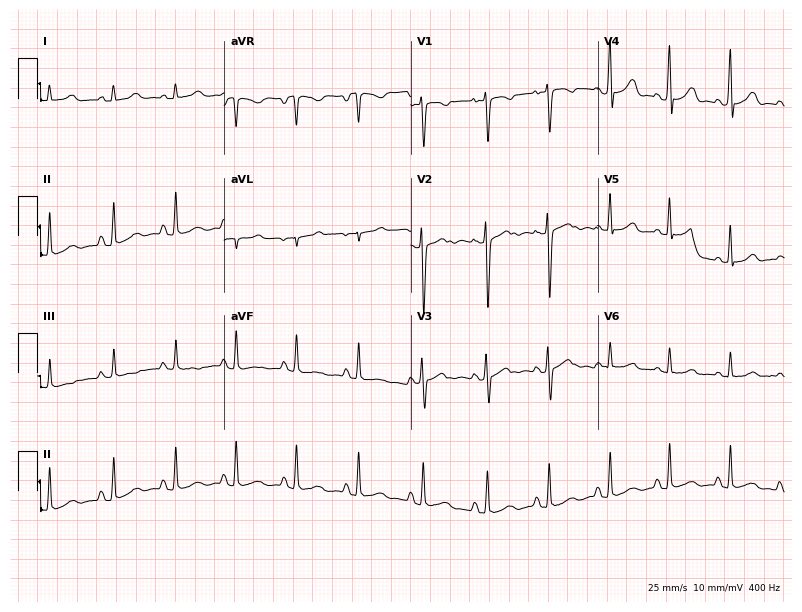
Resting 12-lead electrocardiogram (7.6-second recording at 400 Hz). Patient: a female, 17 years old. None of these six findings is recorded: first-degree AV block, right bundle branch block, left bundle branch block, sinus bradycardia, atrial fibrillation, sinus tachycardia. Findings outside these six are not listed.